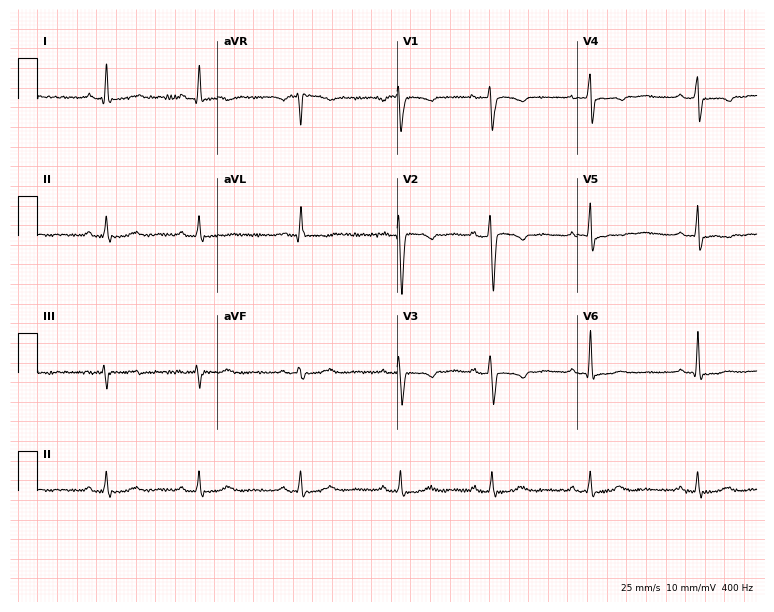
Electrocardiogram, a 43-year-old woman. Of the six screened findings (first-degree AV block, right bundle branch block (RBBB), left bundle branch block (LBBB), sinus bradycardia, atrial fibrillation (AF), sinus tachycardia), none is recorded.